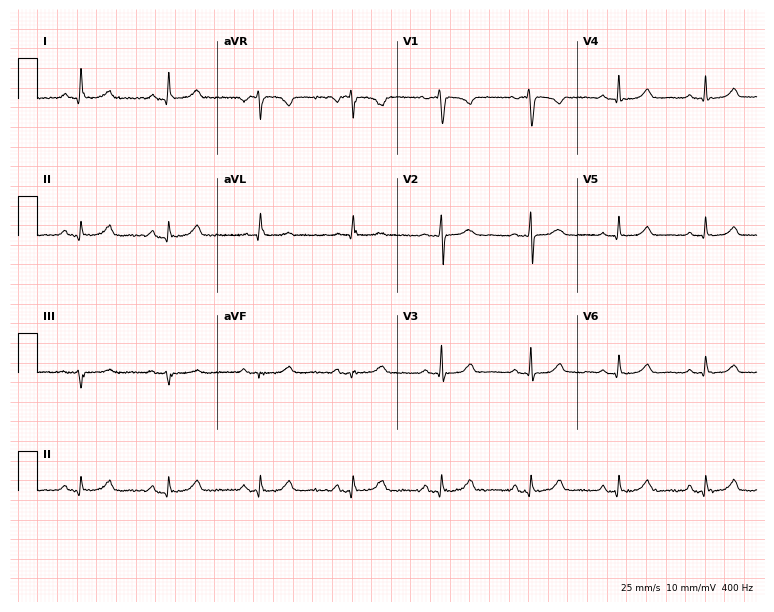
12-lead ECG from a female, 51 years old. Labelled as a normal ECG.